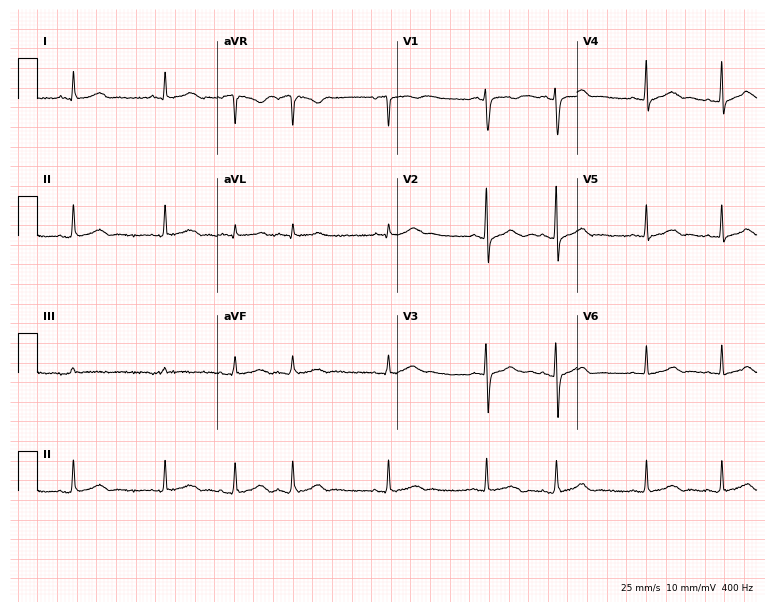
12-lead ECG from a female patient, 37 years old (7.3-second recording at 400 Hz). No first-degree AV block, right bundle branch block, left bundle branch block, sinus bradycardia, atrial fibrillation or sinus tachycardia recorded for this tracing. Only these six findings were labelled.